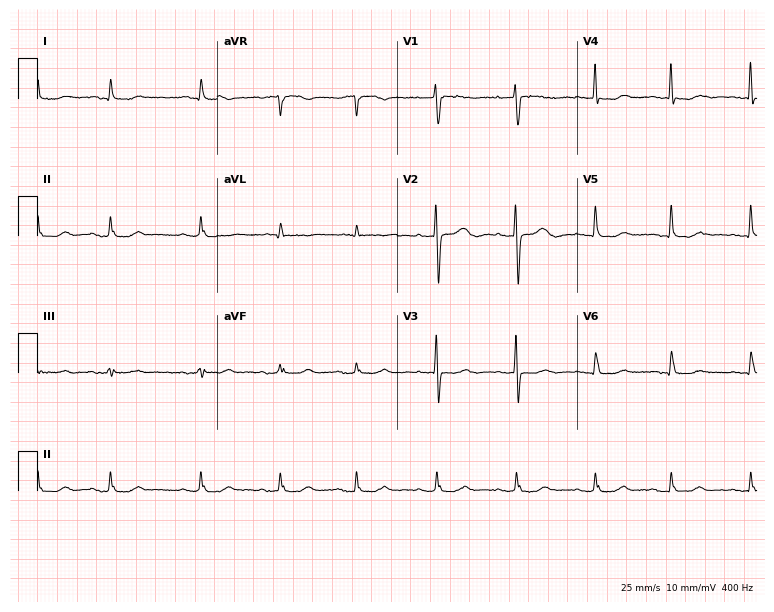
ECG — a woman, 81 years old. Screened for six findings — first-degree AV block, right bundle branch block, left bundle branch block, sinus bradycardia, atrial fibrillation, sinus tachycardia — none is recorded. Findings outside these six are not listed.